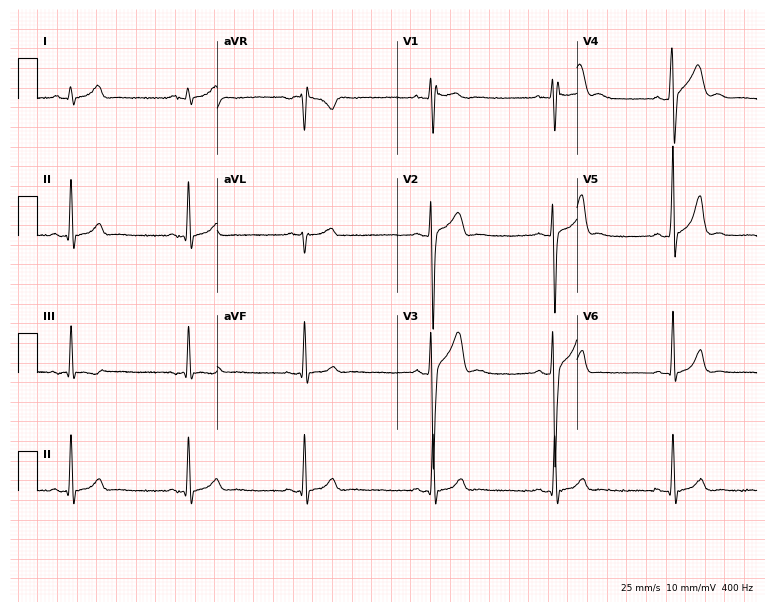
Resting 12-lead electrocardiogram. Patient: a male, 22 years old. None of these six findings is recorded: first-degree AV block, right bundle branch block, left bundle branch block, sinus bradycardia, atrial fibrillation, sinus tachycardia.